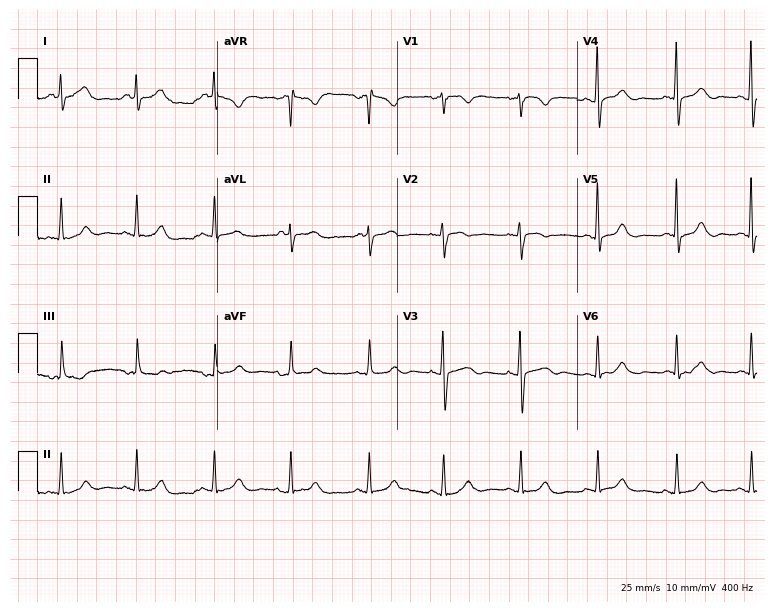
Standard 12-lead ECG recorded from a woman, 61 years old. None of these six findings is recorded: first-degree AV block, right bundle branch block (RBBB), left bundle branch block (LBBB), sinus bradycardia, atrial fibrillation (AF), sinus tachycardia. Other findings, if any, are not listed.